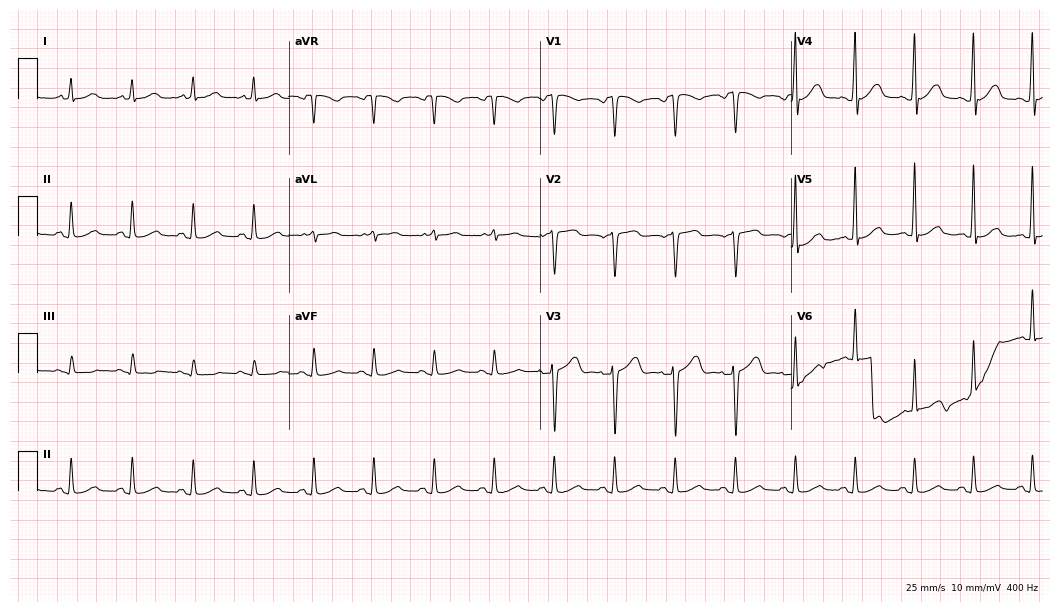
12-lead ECG from a man, 49 years old. Labelled as a normal ECG.